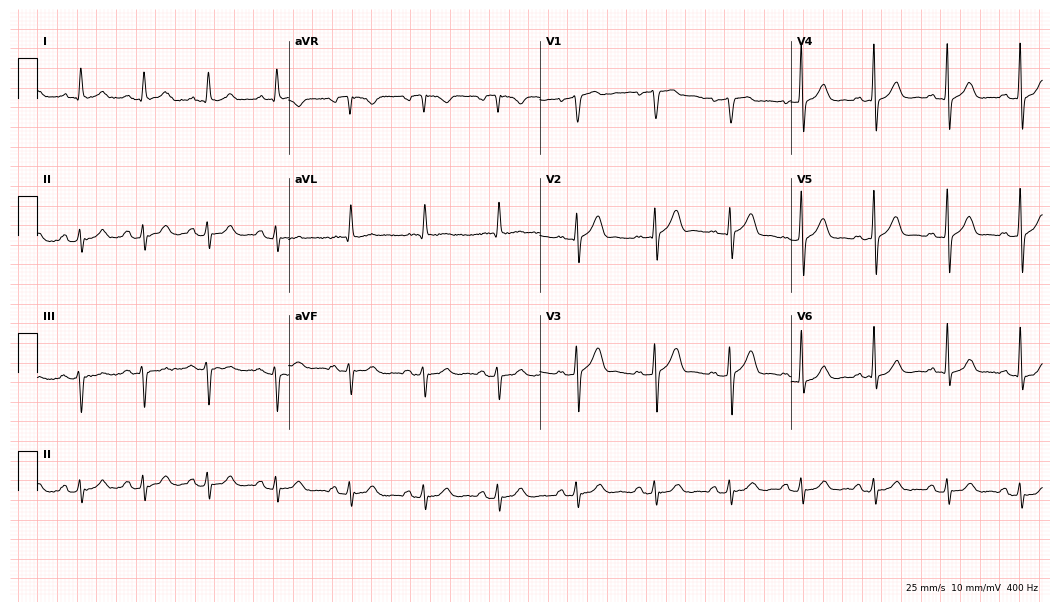
Standard 12-lead ECG recorded from a 52-year-old male patient (10.2-second recording at 400 Hz). None of these six findings is recorded: first-degree AV block, right bundle branch block (RBBB), left bundle branch block (LBBB), sinus bradycardia, atrial fibrillation (AF), sinus tachycardia.